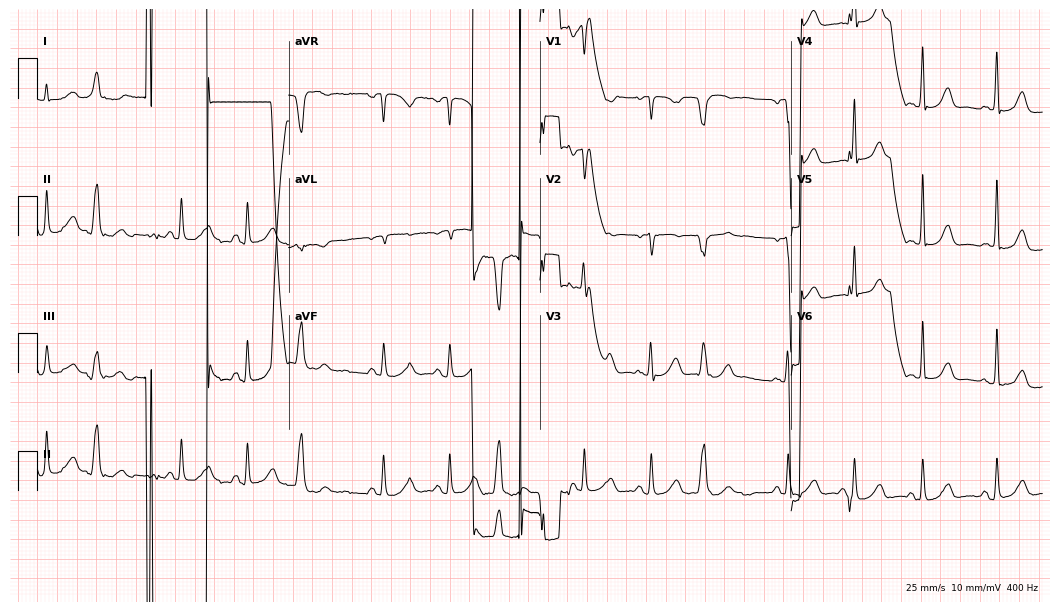
Resting 12-lead electrocardiogram (10.2-second recording at 400 Hz). Patient: a man, 74 years old. None of these six findings is recorded: first-degree AV block, right bundle branch block, left bundle branch block, sinus bradycardia, atrial fibrillation, sinus tachycardia. Findings outside these six are not listed.